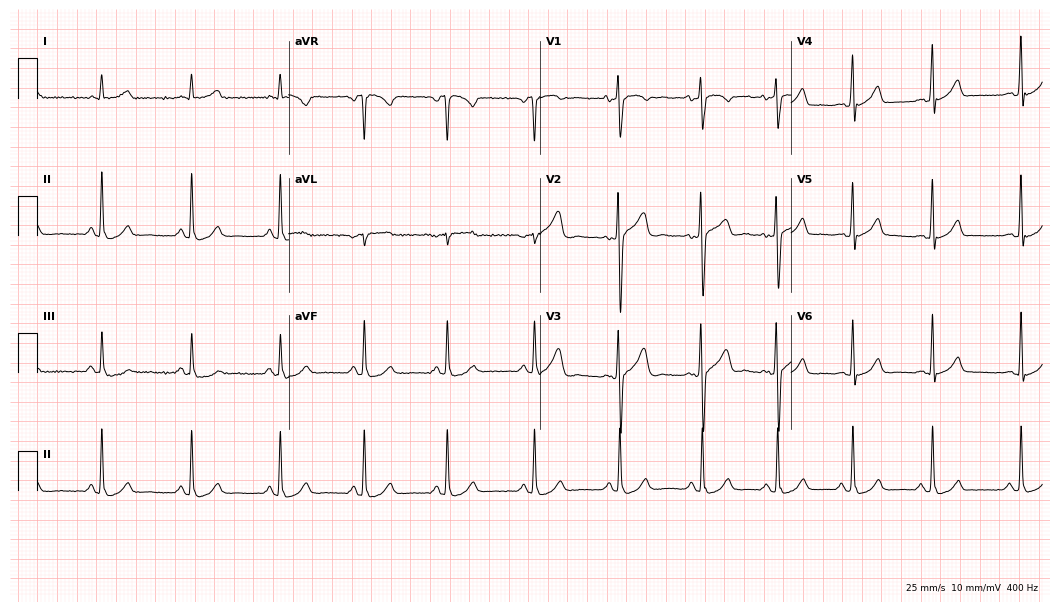
Standard 12-lead ECG recorded from a 35-year-old man (10.2-second recording at 400 Hz). Read as a normal ECG.